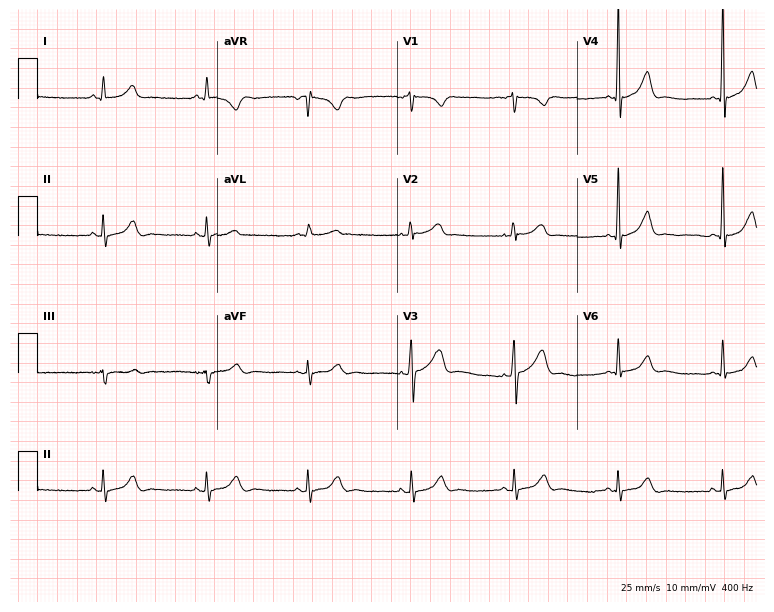
Standard 12-lead ECG recorded from a man, 56 years old. Read as a normal ECG.